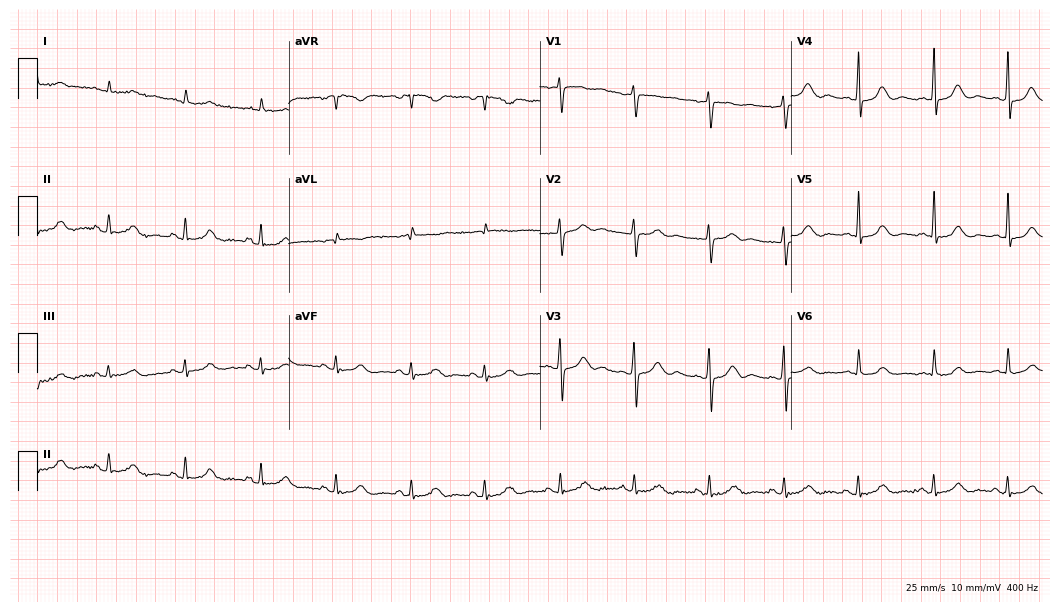
Resting 12-lead electrocardiogram. Patient: a female, 64 years old. Read as a normal ECG.